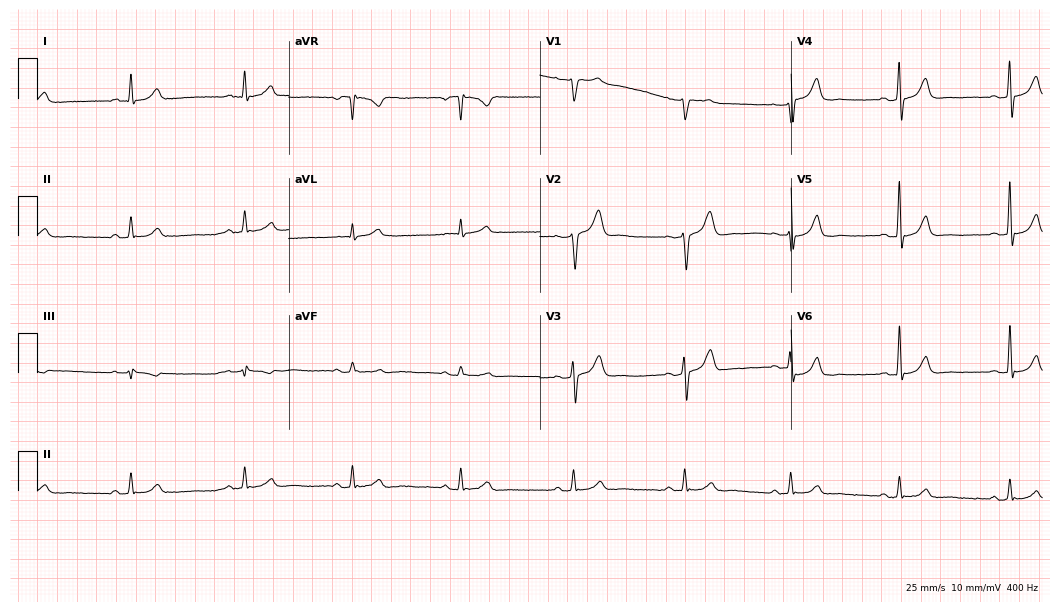
Standard 12-lead ECG recorded from a man, 62 years old (10.2-second recording at 400 Hz). Read as a normal ECG.